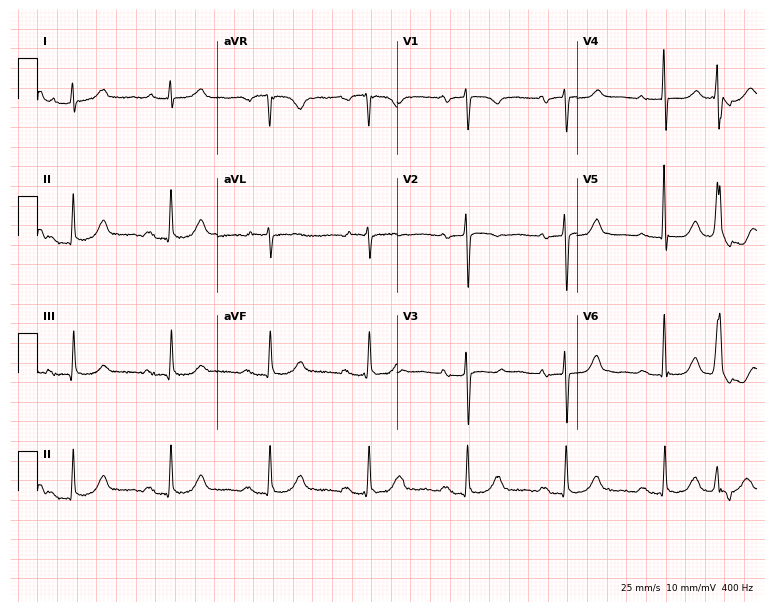
ECG — a woman, 72 years old. Findings include first-degree AV block.